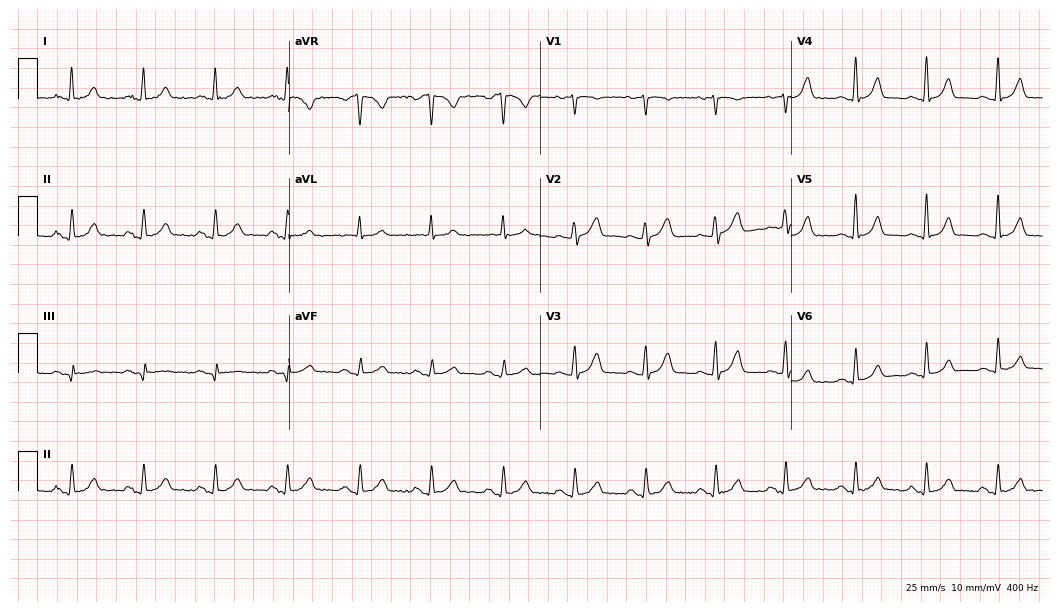
12-lead ECG from a female, 56 years old. Recorded interpretation: within normal limits.